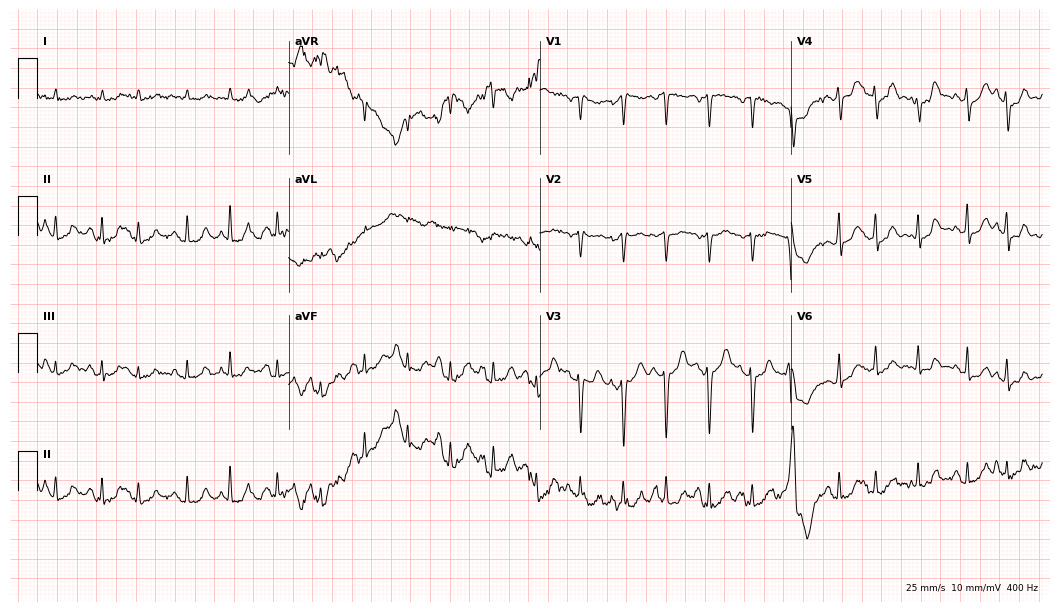
12-lead ECG from a male, 80 years old. Shows sinus tachycardia (a sinus rate of 100 beats per minute or more).